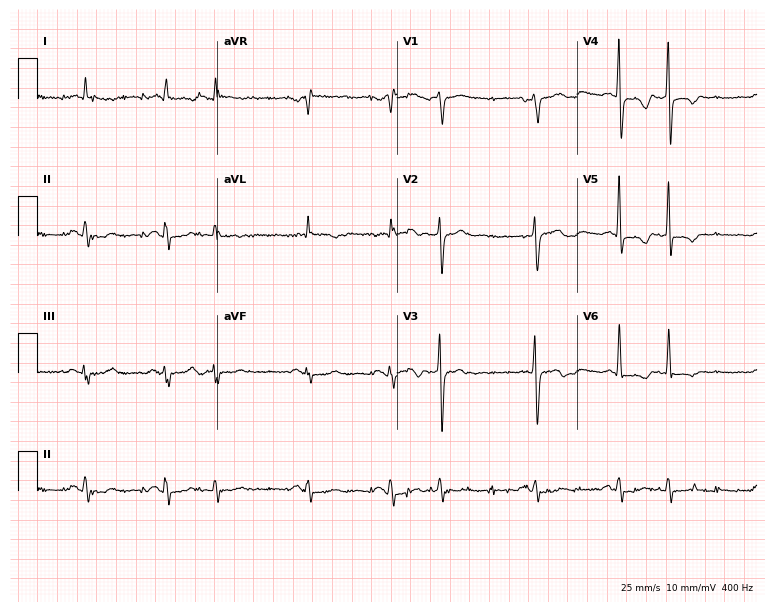
12-lead ECG (7.3-second recording at 400 Hz) from a male patient, 74 years old. Screened for six findings — first-degree AV block, right bundle branch block, left bundle branch block, sinus bradycardia, atrial fibrillation, sinus tachycardia — none is recorded. Only these six findings were labelled.